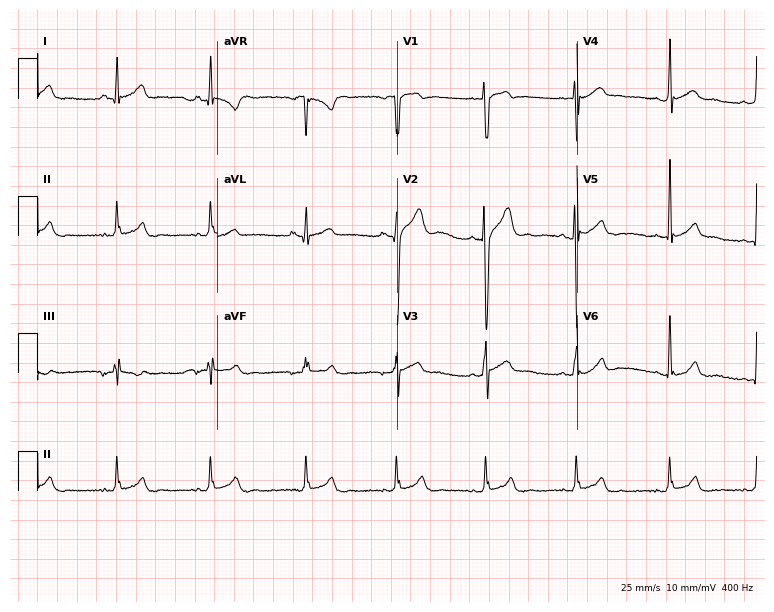
12-lead ECG from an 18-year-old man. Recorded interpretation: within normal limits.